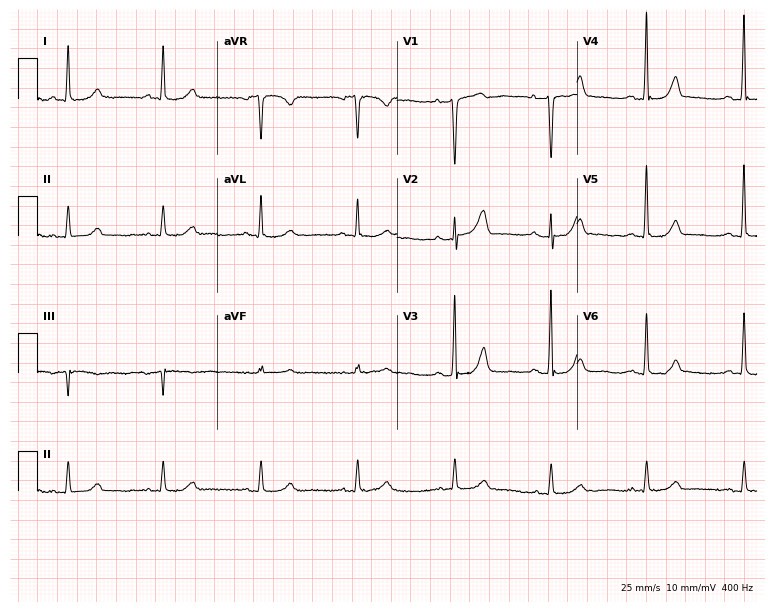
ECG (7.3-second recording at 400 Hz) — a 62-year-old woman. Labelled as a normal ECG.